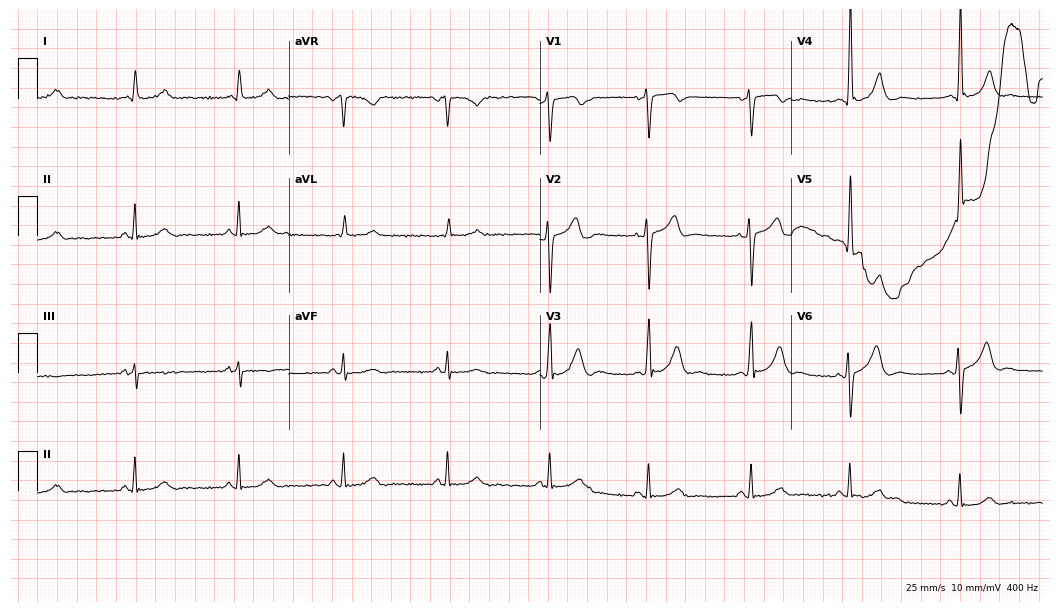
Electrocardiogram, a 62-year-old male patient. Overall reading on record: normal ECG.